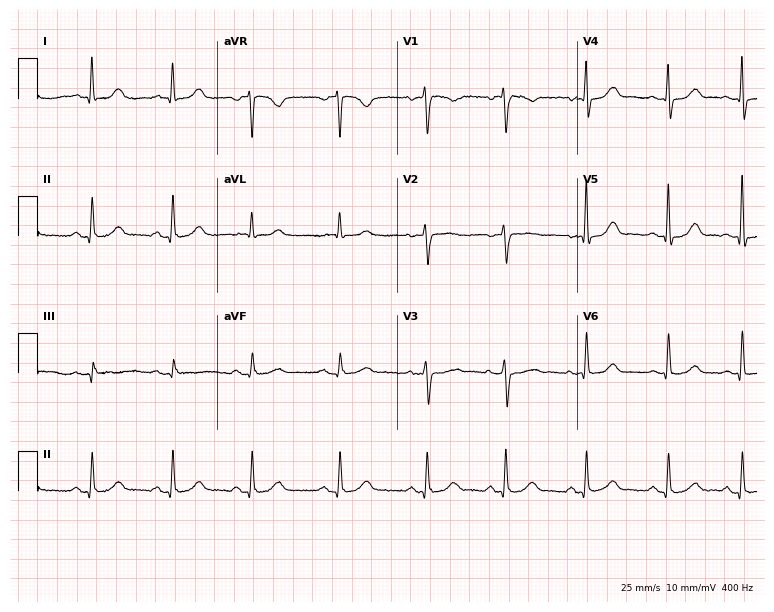
12-lead ECG (7.3-second recording at 400 Hz) from a female, 58 years old. Labelled as a normal ECG.